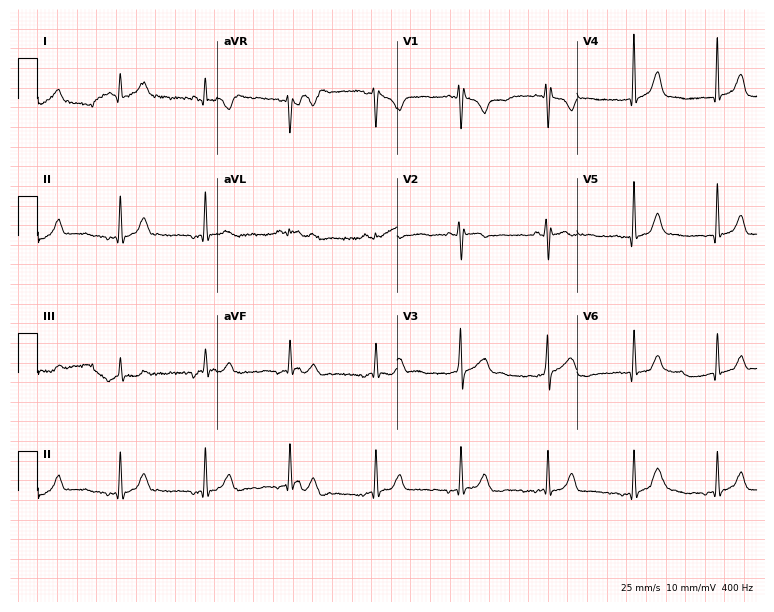
ECG (7.3-second recording at 400 Hz) — a female, 18 years old. Labelled as a normal ECG.